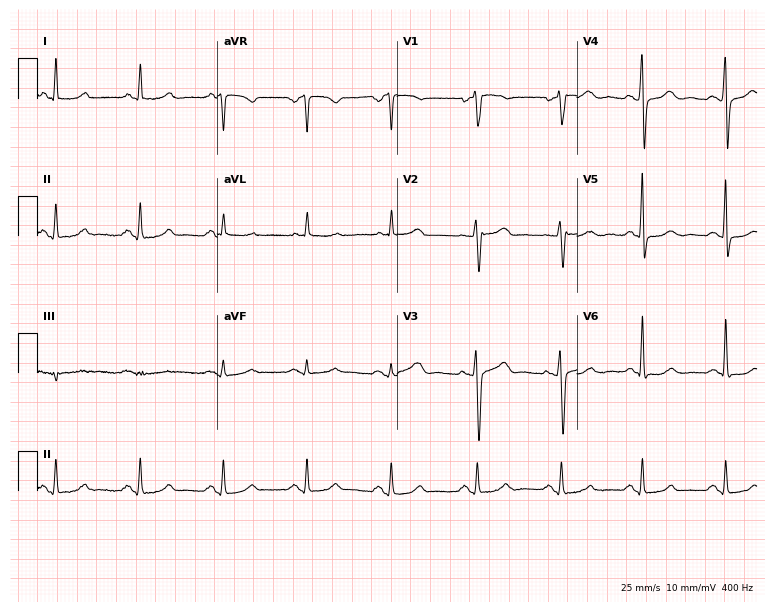
Electrocardiogram, a 62-year-old woman. Of the six screened findings (first-degree AV block, right bundle branch block (RBBB), left bundle branch block (LBBB), sinus bradycardia, atrial fibrillation (AF), sinus tachycardia), none is recorded.